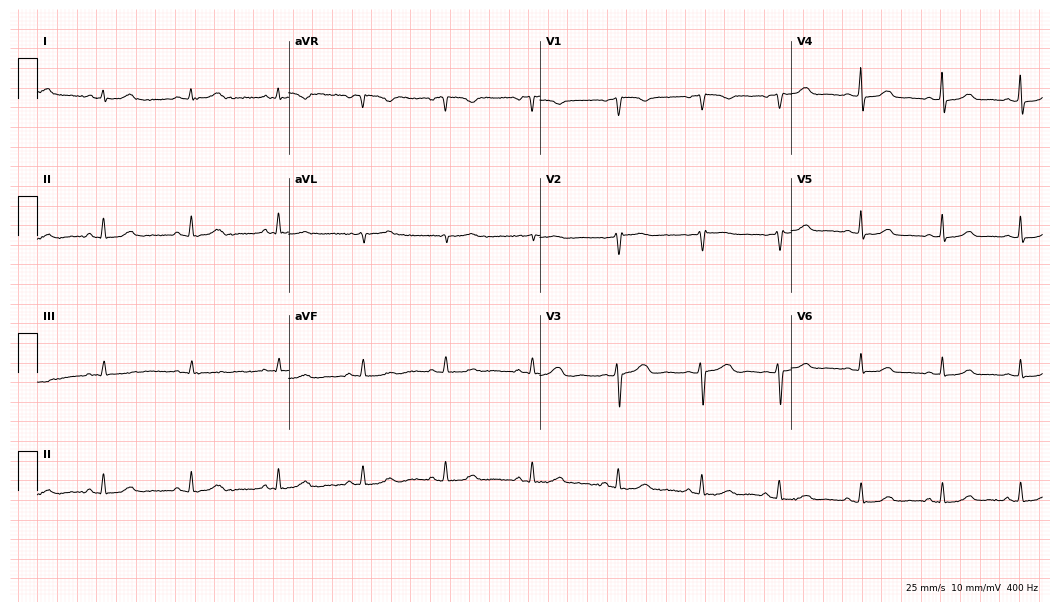
Resting 12-lead electrocardiogram. Patient: a female, 50 years old. Read as a normal ECG.